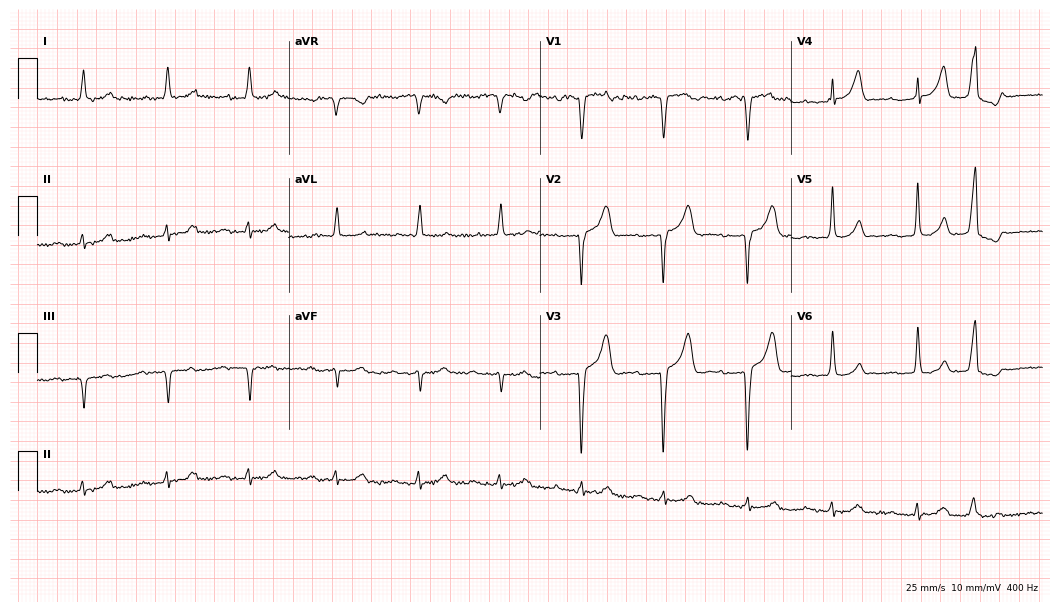
Standard 12-lead ECG recorded from a male patient, 85 years old. None of these six findings is recorded: first-degree AV block, right bundle branch block, left bundle branch block, sinus bradycardia, atrial fibrillation, sinus tachycardia. Other findings, if any, are not listed.